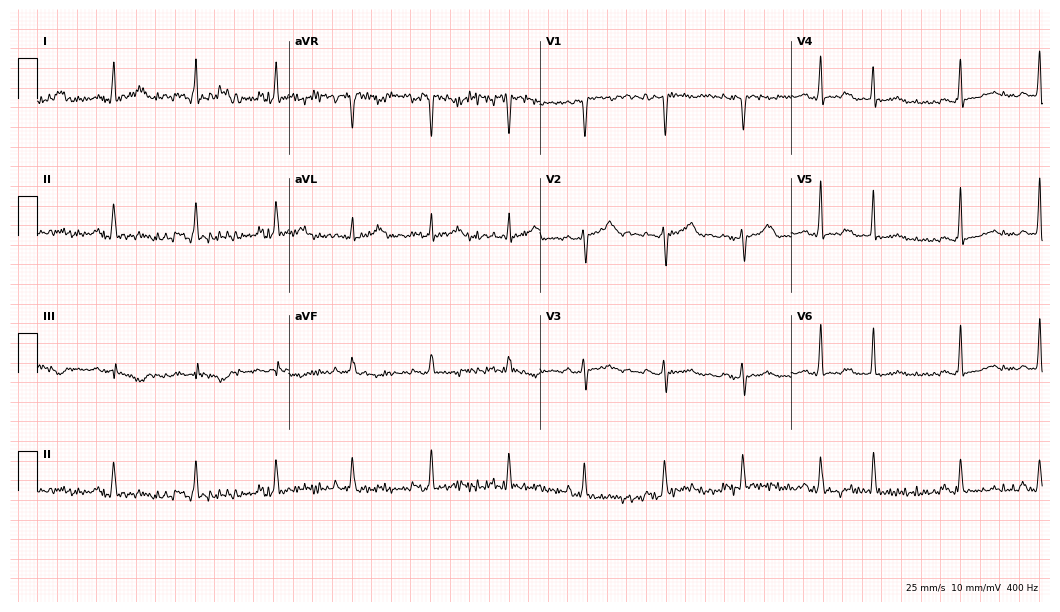
Standard 12-lead ECG recorded from a 29-year-old female (10.2-second recording at 400 Hz). None of these six findings is recorded: first-degree AV block, right bundle branch block, left bundle branch block, sinus bradycardia, atrial fibrillation, sinus tachycardia.